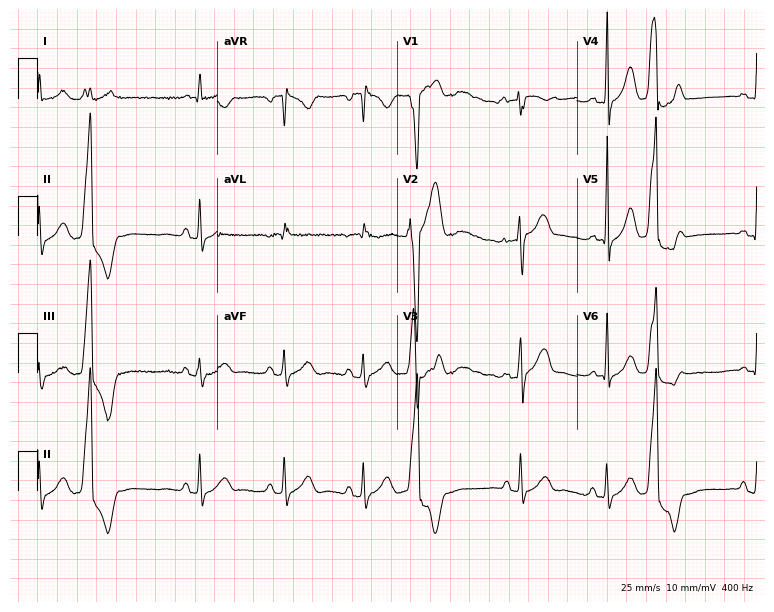
12-lead ECG (7.3-second recording at 400 Hz) from a man, 69 years old. Screened for six findings — first-degree AV block, right bundle branch block, left bundle branch block, sinus bradycardia, atrial fibrillation, sinus tachycardia — none is recorded. Other findings, if any, are not listed.